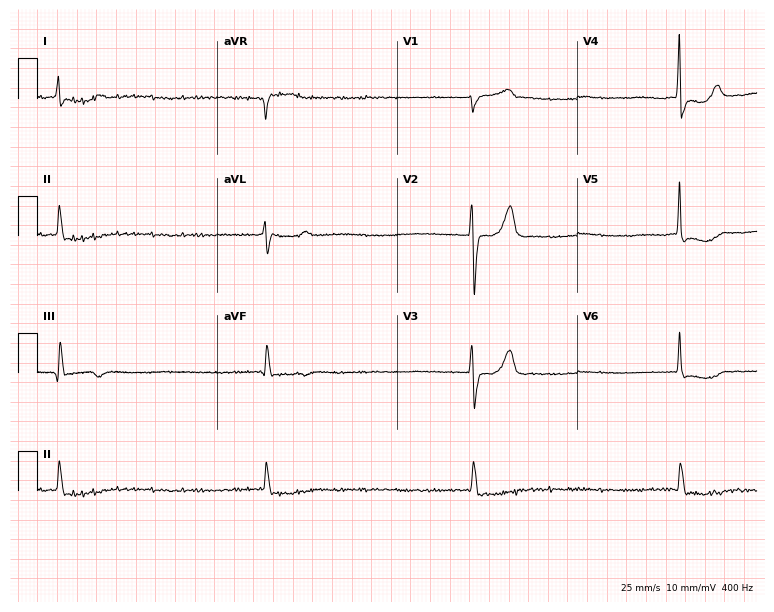
ECG — a 75-year-old man. Screened for six findings — first-degree AV block, right bundle branch block, left bundle branch block, sinus bradycardia, atrial fibrillation, sinus tachycardia — none is recorded. Only these six findings were labelled.